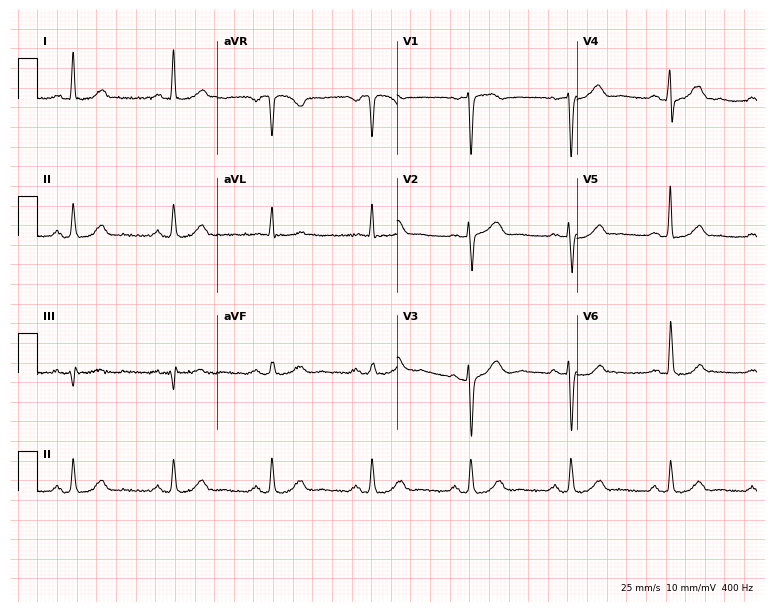
12-lead ECG (7.3-second recording at 400 Hz) from a woman, 62 years old. Labelled as a normal ECG.